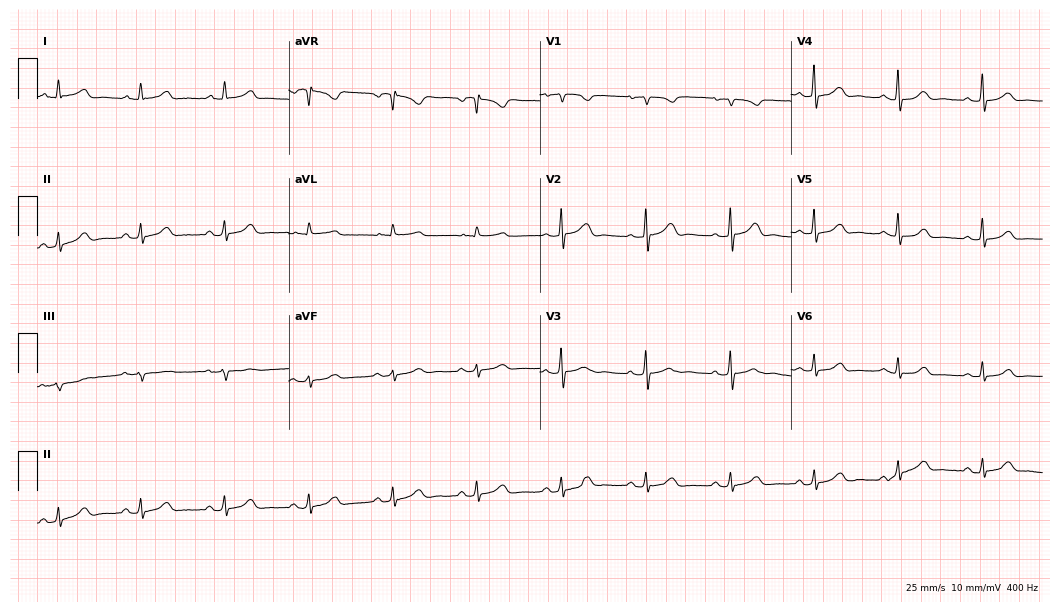
ECG (10.2-second recording at 400 Hz) — a 65-year-old female patient. Screened for six findings — first-degree AV block, right bundle branch block, left bundle branch block, sinus bradycardia, atrial fibrillation, sinus tachycardia — none is recorded.